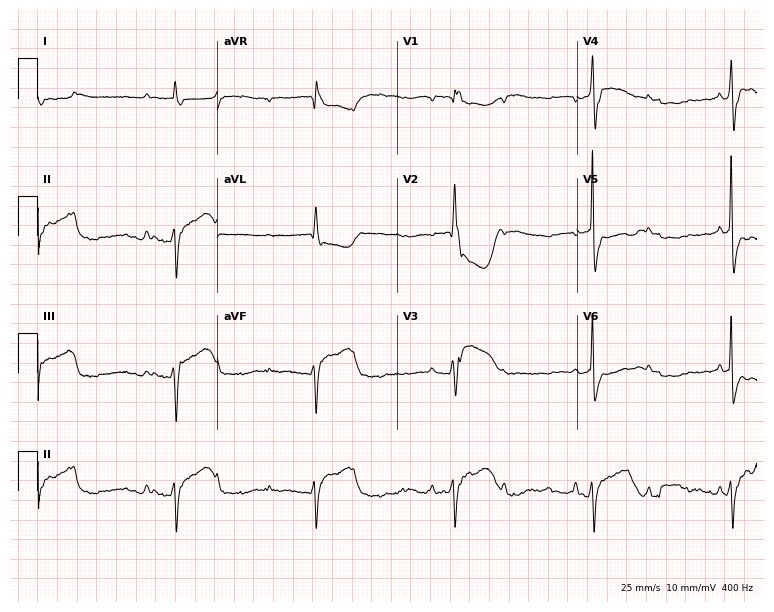
Resting 12-lead electrocardiogram. Patient: a 56-year-old female. None of these six findings is recorded: first-degree AV block, right bundle branch block (RBBB), left bundle branch block (LBBB), sinus bradycardia, atrial fibrillation (AF), sinus tachycardia. Only these six findings were labelled.